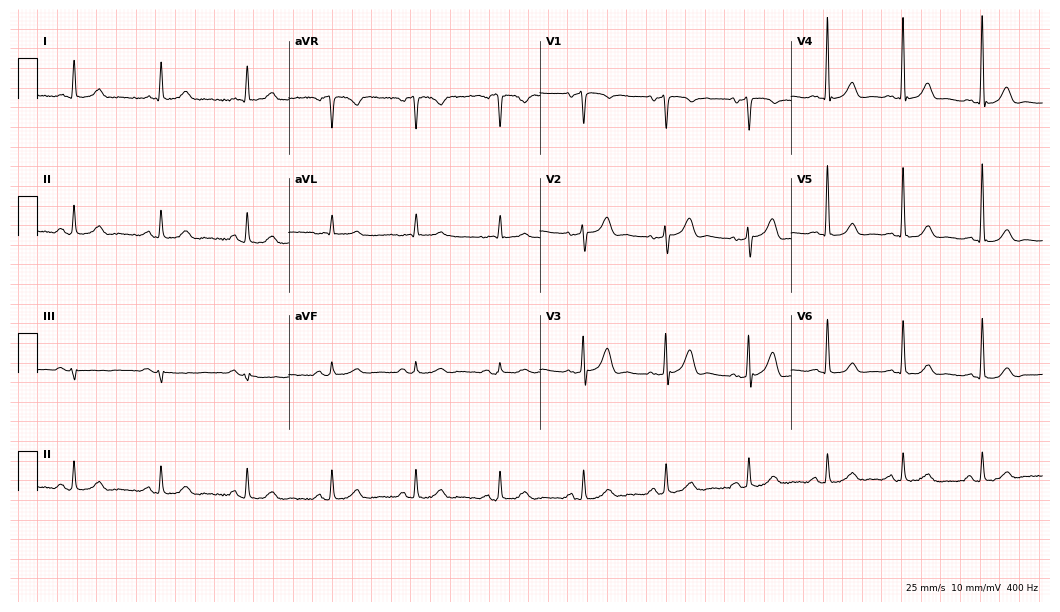
Electrocardiogram, a 73-year-old male patient. Of the six screened findings (first-degree AV block, right bundle branch block (RBBB), left bundle branch block (LBBB), sinus bradycardia, atrial fibrillation (AF), sinus tachycardia), none is recorded.